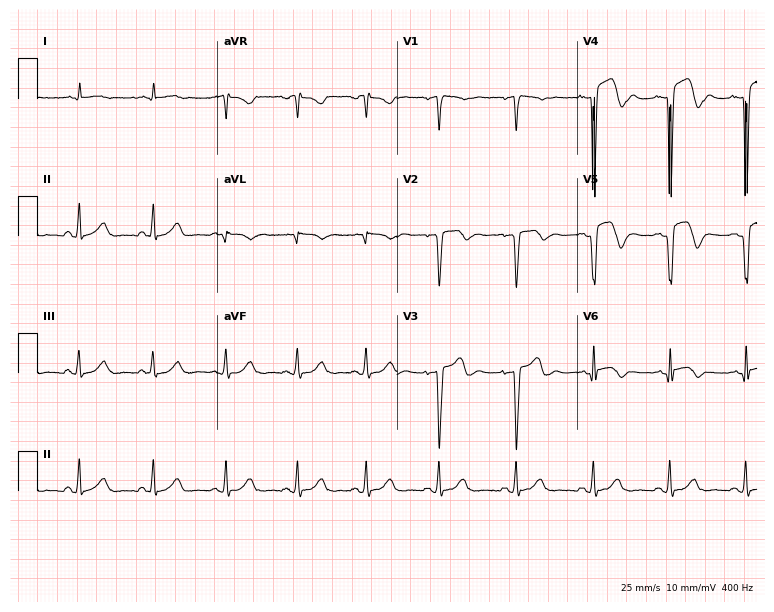
12-lead ECG from an 18-year-old man. No first-degree AV block, right bundle branch block (RBBB), left bundle branch block (LBBB), sinus bradycardia, atrial fibrillation (AF) or sinus tachycardia recorded for this tracing. Other findings, if any, are not listed.